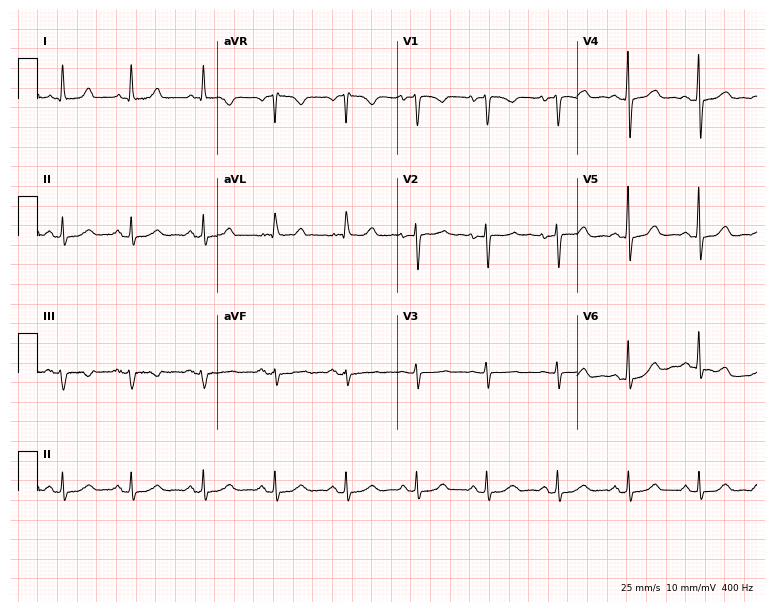
12-lead ECG from an 80-year-old female. Recorded interpretation: within normal limits.